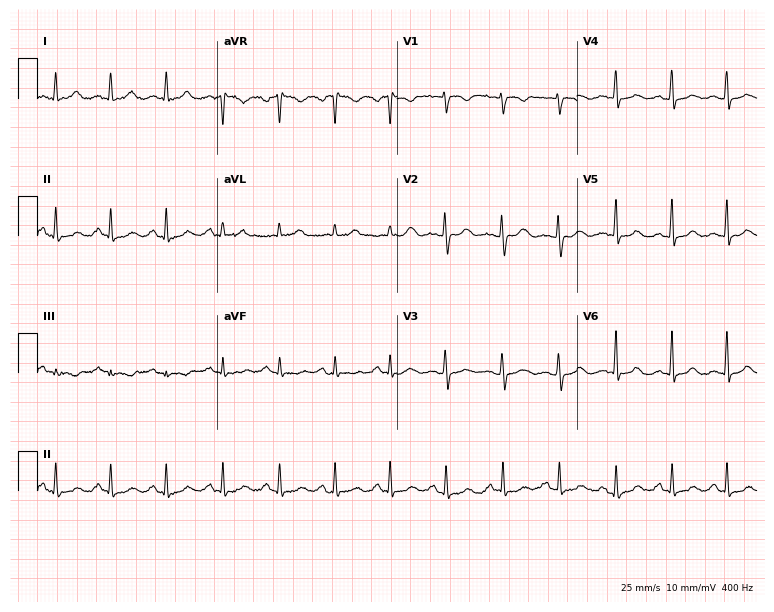
Standard 12-lead ECG recorded from a woman, 20 years old (7.3-second recording at 400 Hz). The tracing shows sinus tachycardia (a sinus rate of 100 beats per minute or more).